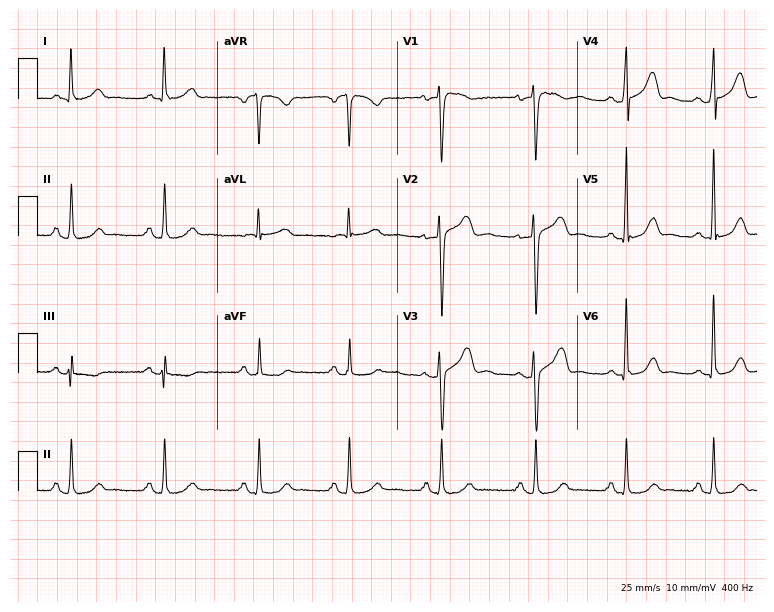
ECG (7.3-second recording at 400 Hz) — a 41-year-old female. Labelled as a normal ECG.